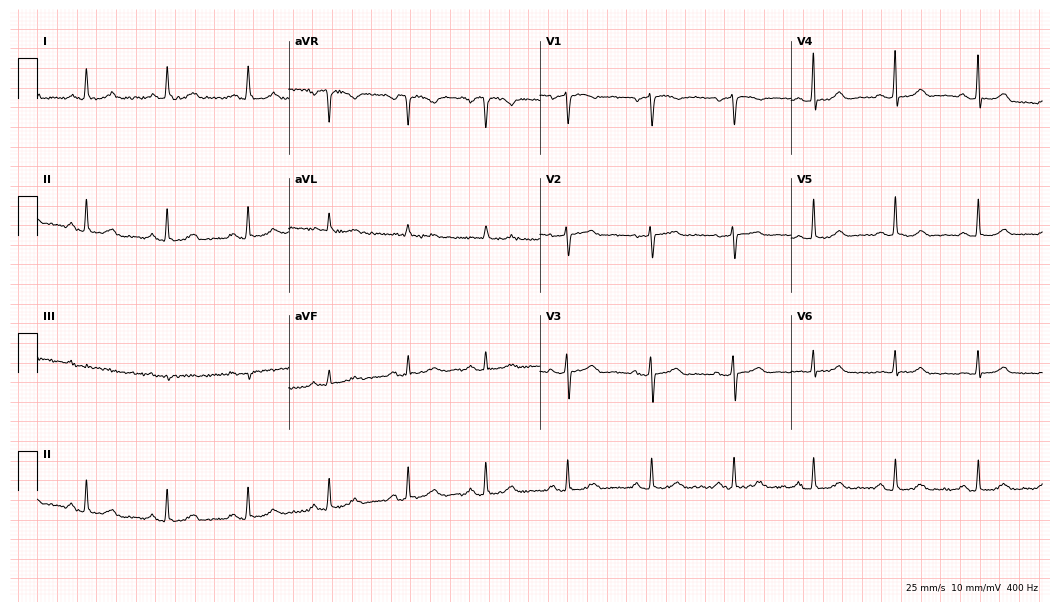
Standard 12-lead ECG recorded from a female, 65 years old (10.2-second recording at 400 Hz). Read as a normal ECG.